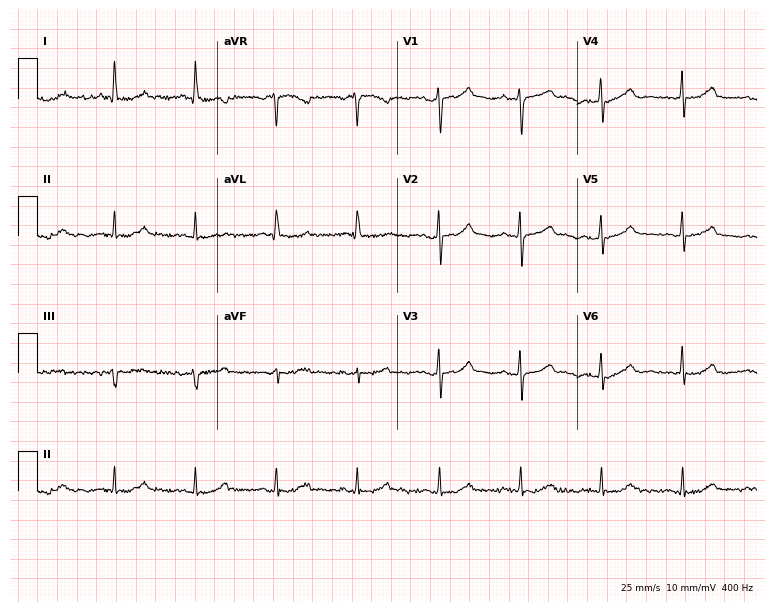
Electrocardiogram, a 56-year-old male patient. Overall reading on record: normal ECG.